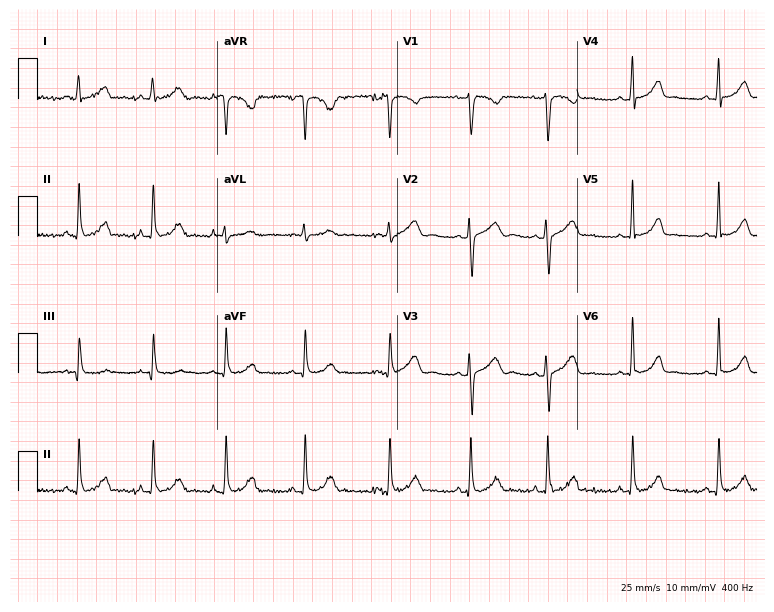
ECG (7.3-second recording at 400 Hz) — a 24-year-old female patient. Labelled as a normal ECG.